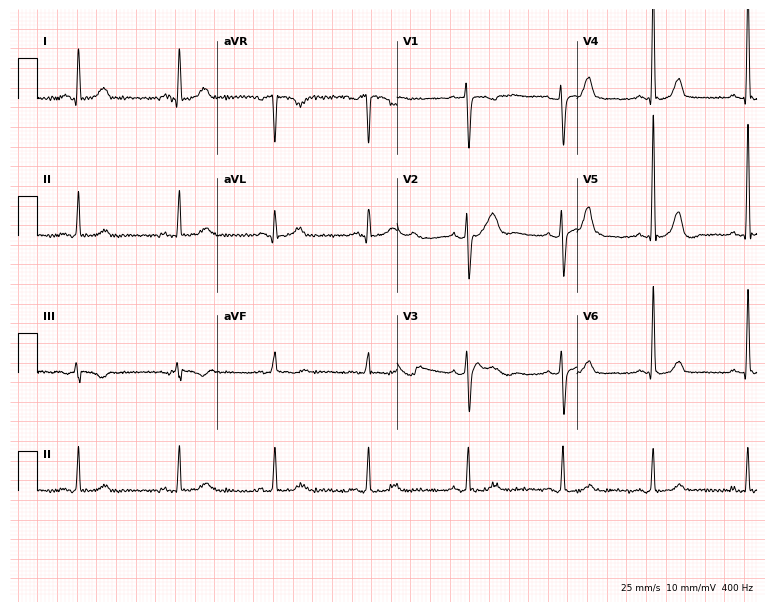
Electrocardiogram (7.3-second recording at 400 Hz), a female, 43 years old. Of the six screened findings (first-degree AV block, right bundle branch block, left bundle branch block, sinus bradycardia, atrial fibrillation, sinus tachycardia), none is recorded.